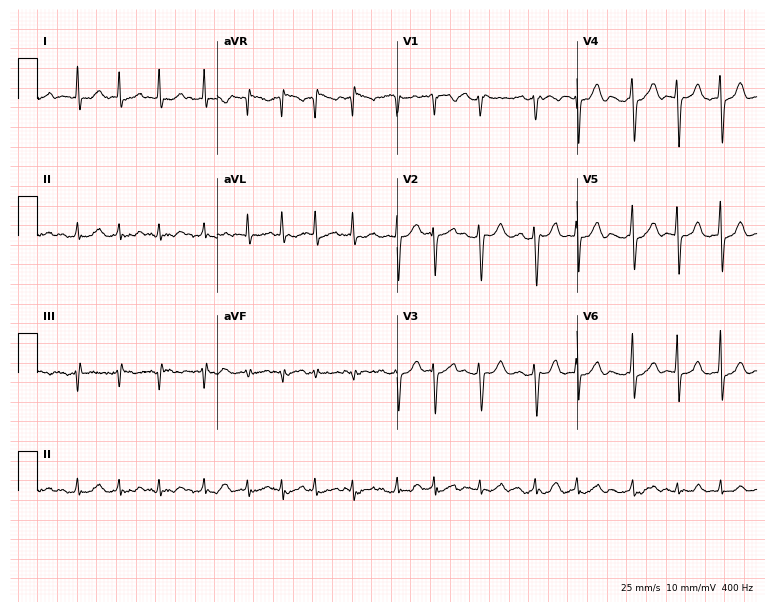
Standard 12-lead ECG recorded from a female patient, 85 years old (7.3-second recording at 400 Hz). The tracing shows atrial fibrillation (AF).